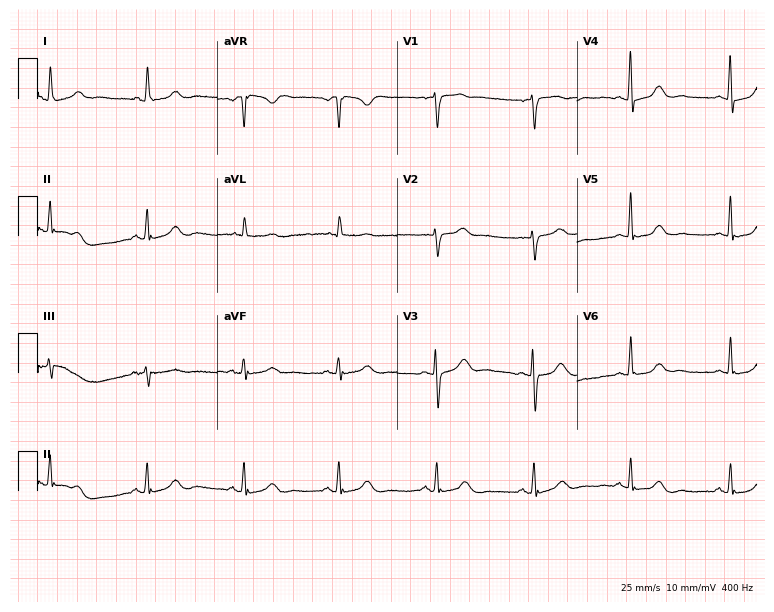
Resting 12-lead electrocardiogram (7.3-second recording at 400 Hz). Patient: a woman, 62 years old. Read as a normal ECG.